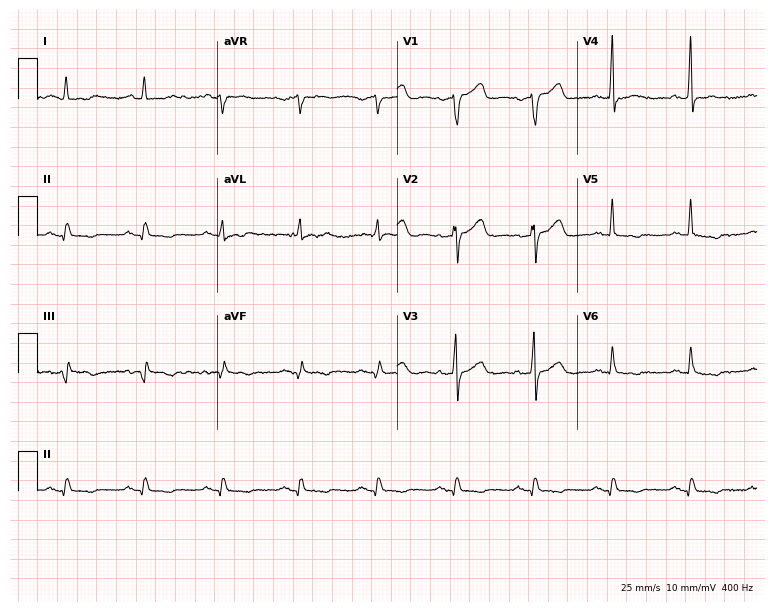
ECG — a 71-year-old man. Screened for six findings — first-degree AV block, right bundle branch block, left bundle branch block, sinus bradycardia, atrial fibrillation, sinus tachycardia — none is recorded.